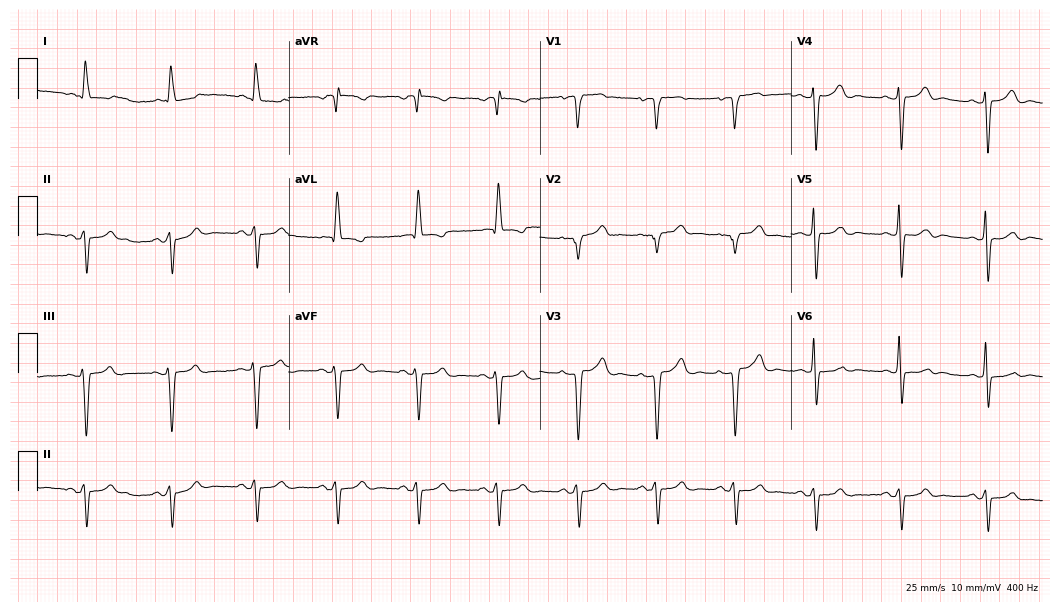
Resting 12-lead electrocardiogram. Patient: a 72-year-old woman. None of these six findings is recorded: first-degree AV block, right bundle branch block (RBBB), left bundle branch block (LBBB), sinus bradycardia, atrial fibrillation (AF), sinus tachycardia. Only these six findings were labelled.